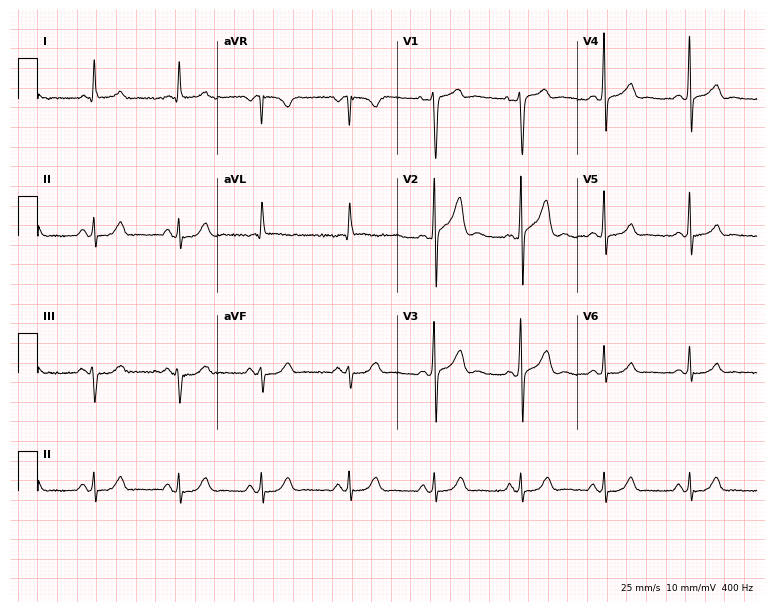
Electrocardiogram, a male patient, 79 years old. Overall reading on record: normal ECG.